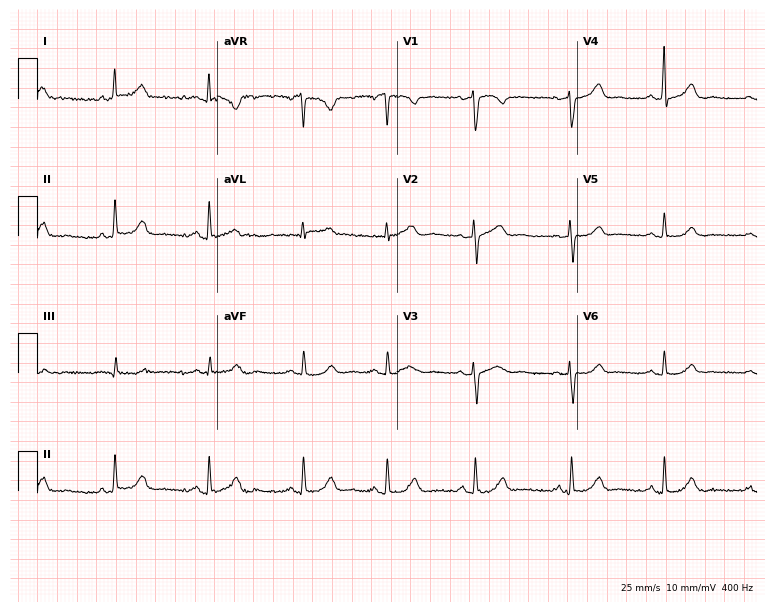
12-lead ECG from a female patient, 43 years old (7.3-second recording at 400 Hz). Recorded interpretation: within normal limits.